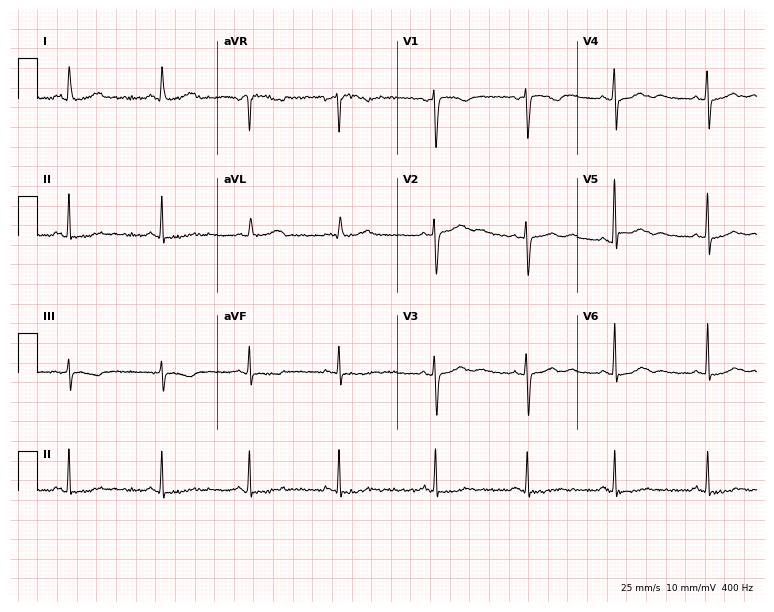
12-lead ECG from a 48-year-old woman (7.3-second recording at 400 Hz). No first-degree AV block, right bundle branch block (RBBB), left bundle branch block (LBBB), sinus bradycardia, atrial fibrillation (AF) or sinus tachycardia recorded for this tracing. Findings outside these six are not listed.